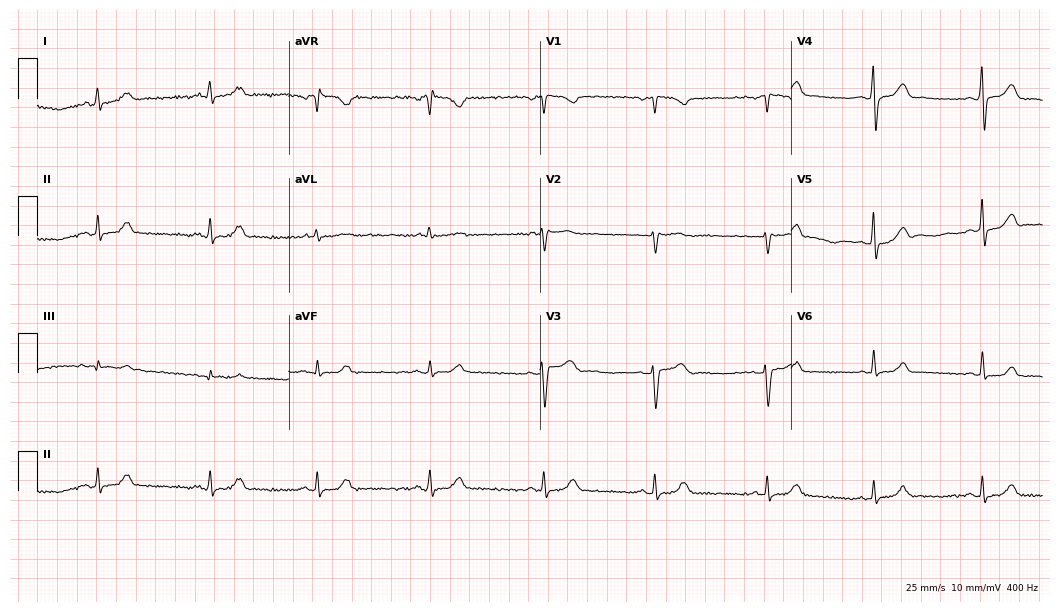
Resting 12-lead electrocardiogram. Patient: a female, 53 years old. None of these six findings is recorded: first-degree AV block, right bundle branch block, left bundle branch block, sinus bradycardia, atrial fibrillation, sinus tachycardia.